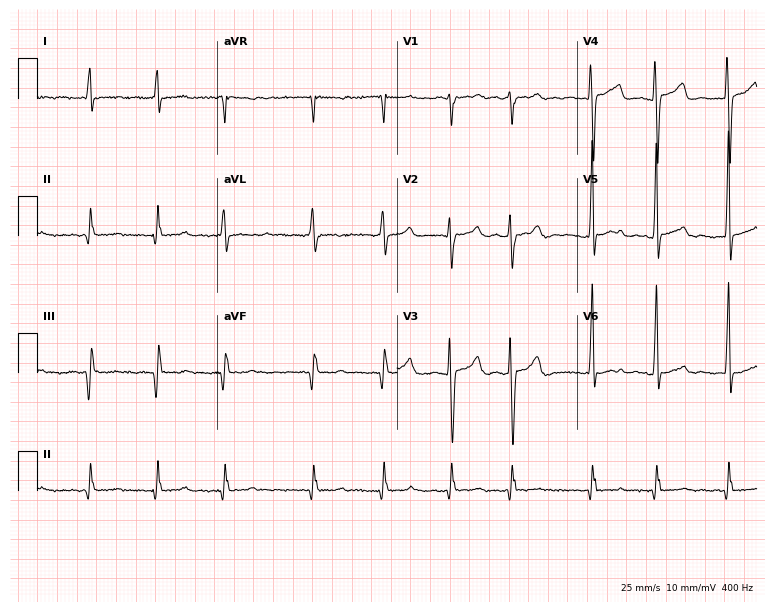
12-lead ECG from a male, 45 years old (7.3-second recording at 400 Hz). No first-degree AV block, right bundle branch block, left bundle branch block, sinus bradycardia, atrial fibrillation or sinus tachycardia recorded for this tracing. Other findings, if any, are not listed.